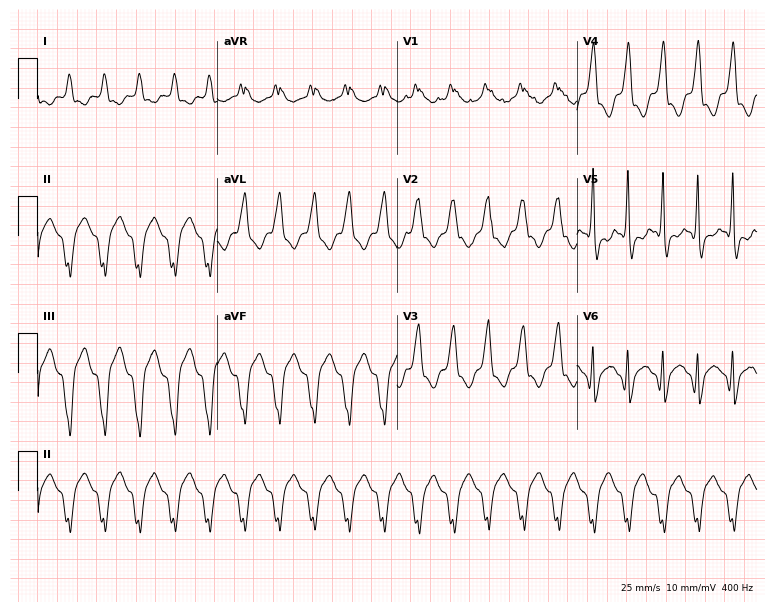
Resting 12-lead electrocardiogram (7.3-second recording at 400 Hz). Patient: a 70-year-old female. None of these six findings is recorded: first-degree AV block, right bundle branch block, left bundle branch block, sinus bradycardia, atrial fibrillation, sinus tachycardia. Other findings, if any, are not listed.